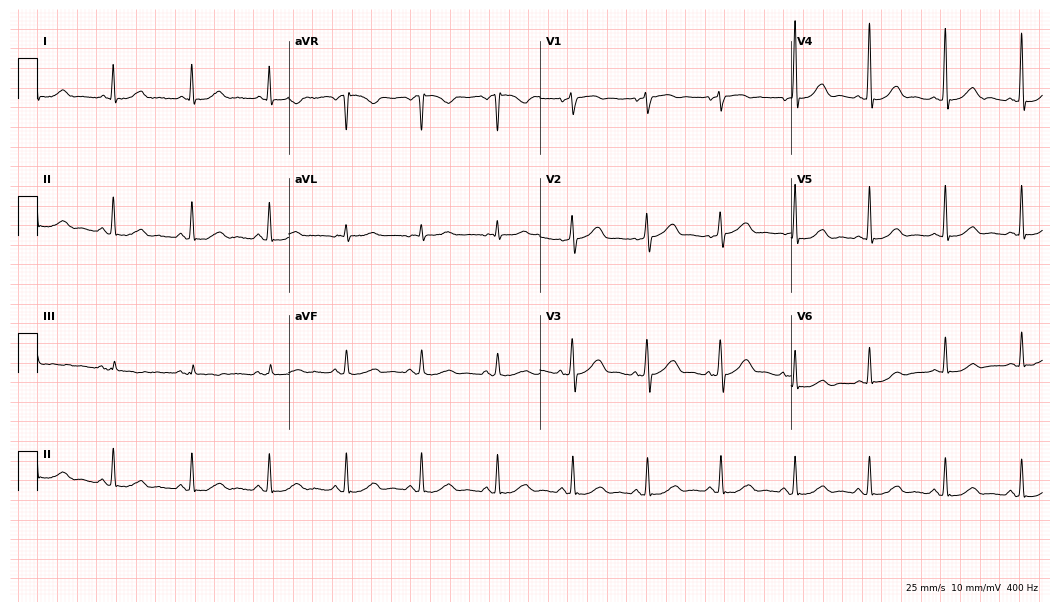
Resting 12-lead electrocardiogram (10.2-second recording at 400 Hz). Patient: a woman, 60 years old. Read as a normal ECG.